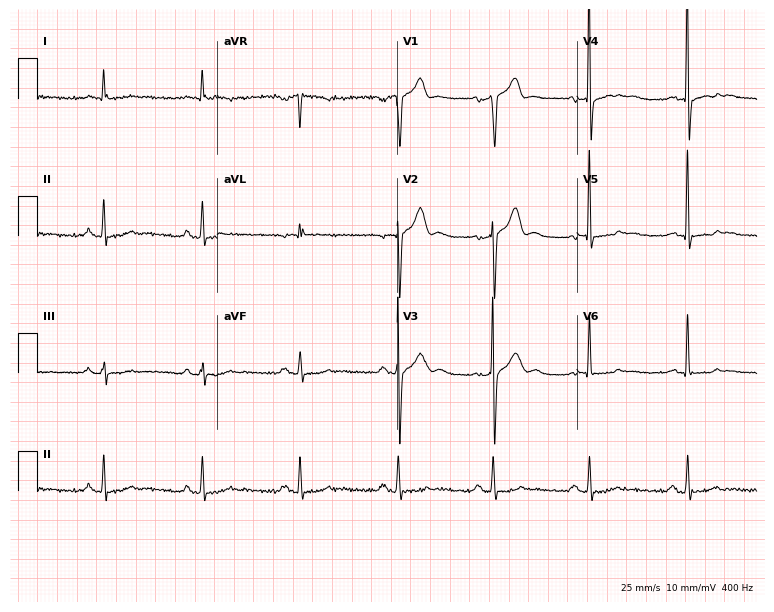
Resting 12-lead electrocardiogram (7.3-second recording at 400 Hz). Patient: a male, 48 years old. None of these six findings is recorded: first-degree AV block, right bundle branch block, left bundle branch block, sinus bradycardia, atrial fibrillation, sinus tachycardia.